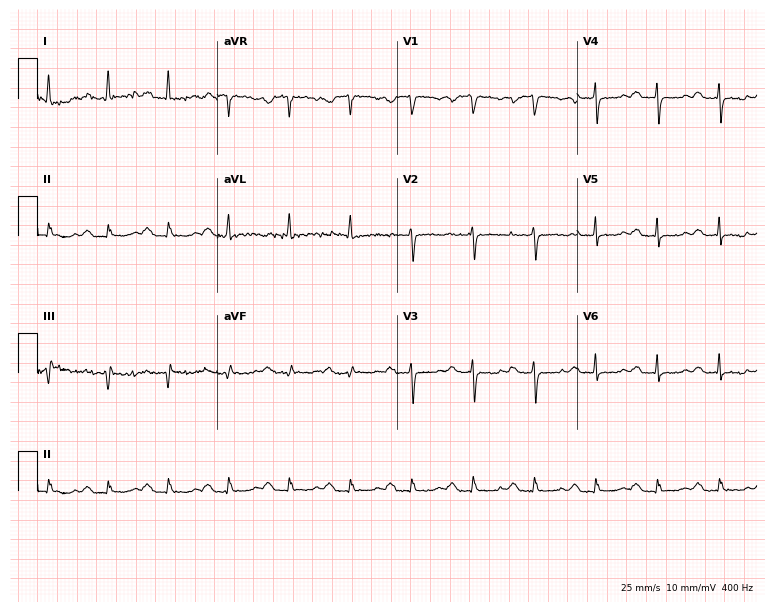
12-lead ECG from an 80-year-old woman (7.3-second recording at 400 Hz). No first-degree AV block, right bundle branch block, left bundle branch block, sinus bradycardia, atrial fibrillation or sinus tachycardia recorded for this tracing. Other findings, if any, are not listed.